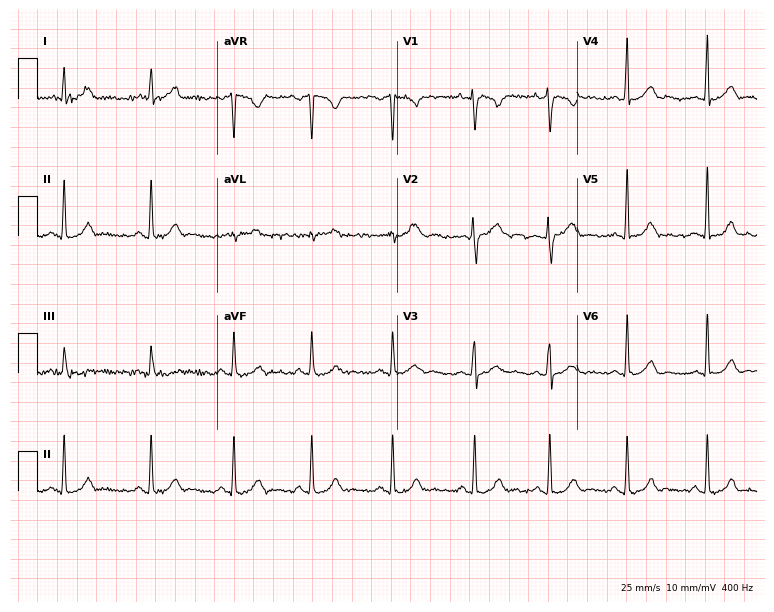
Standard 12-lead ECG recorded from a woman, 17 years old (7.3-second recording at 400 Hz). Read as a normal ECG.